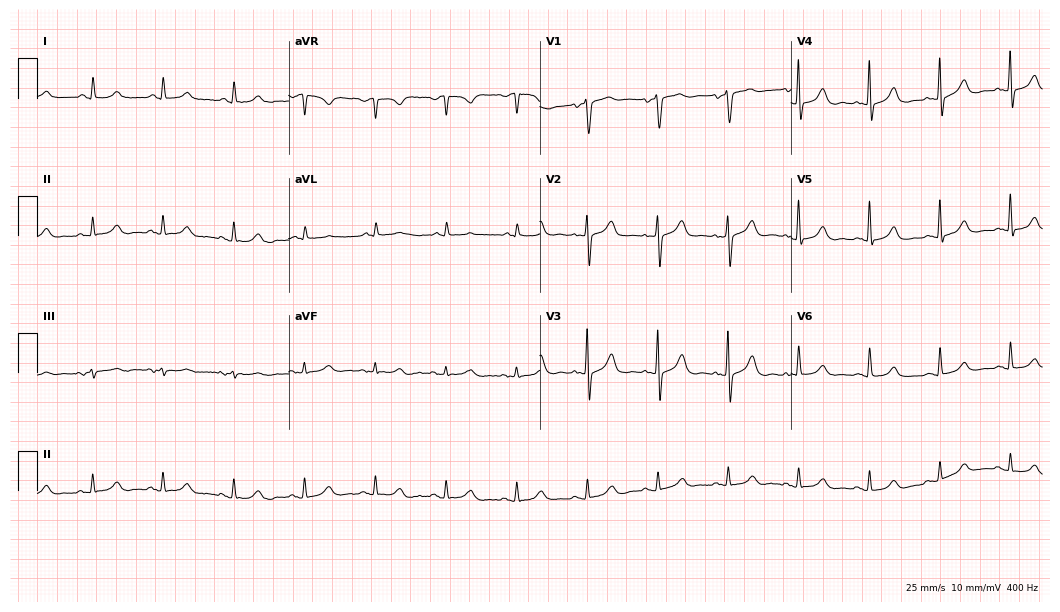
Resting 12-lead electrocardiogram (10.2-second recording at 400 Hz). Patient: an 84-year-old male. Read as a normal ECG.